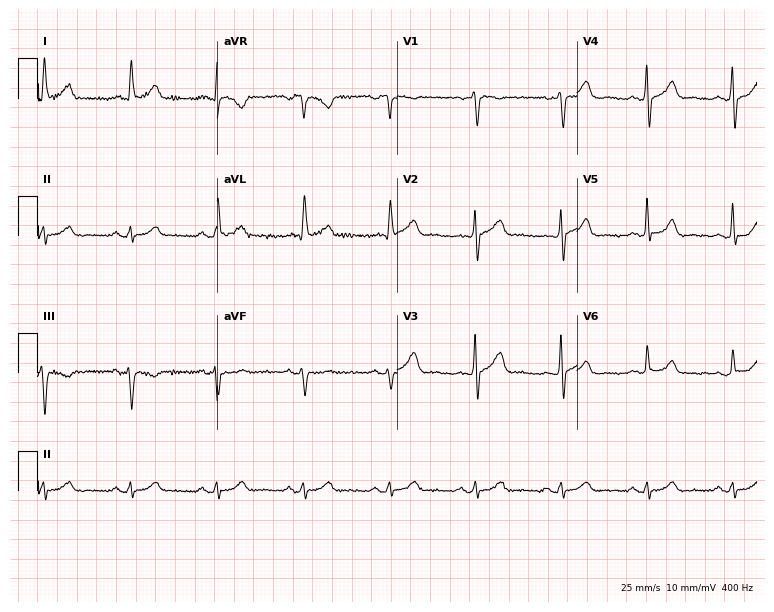
ECG (7.3-second recording at 400 Hz) — a 75-year-old man. Screened for six findings — first-degree AV block, right bundle branch block (RBBB), left bundle branch block (LBBB), sinus bradycardia, atrial fibrillation (AF), sinus tachycardia — none is recorded. Only these six findings were labelled.